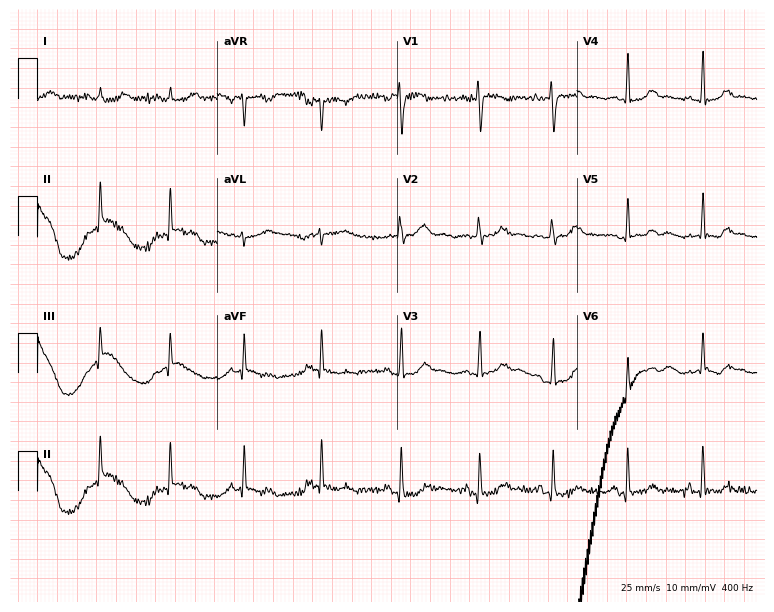
Resting 12-lead electrocardiogram (7.3-second recording at 400 Hz). Patient: a 24-year-old woman. None of these six findings is recorded: first-degree AV block, right bundle branch block, left bundle branch block, sinus bradycardia, atrial fibrillation, sinus tachycardia. Findings outside these six are not listed.